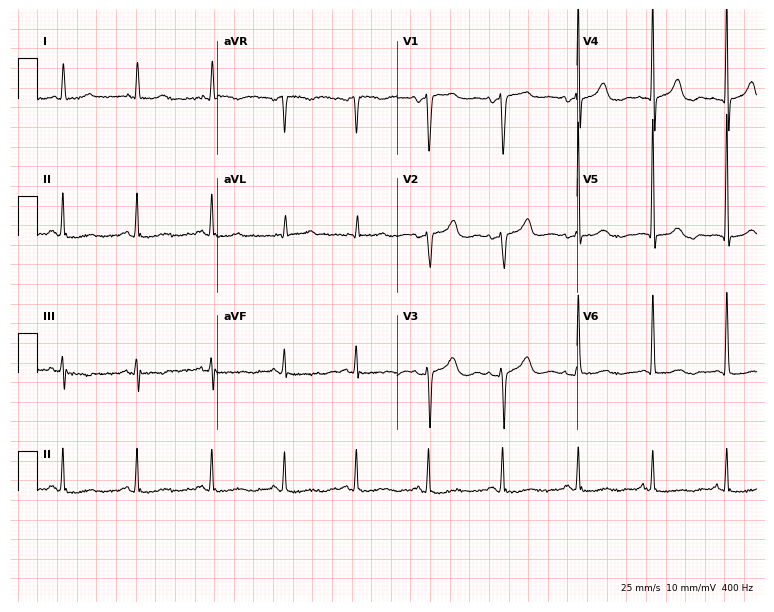
Electrocardiogram (7.3-second recording at 400 Hz), a 78-year-old woman. Of the six screened findings (first-degree AV block, right bundle branch block, left bundle branch block, sinus bradycardia, atrial fibrillation, sinus tachycardia), none is recorded. Only these six findings were labelled.